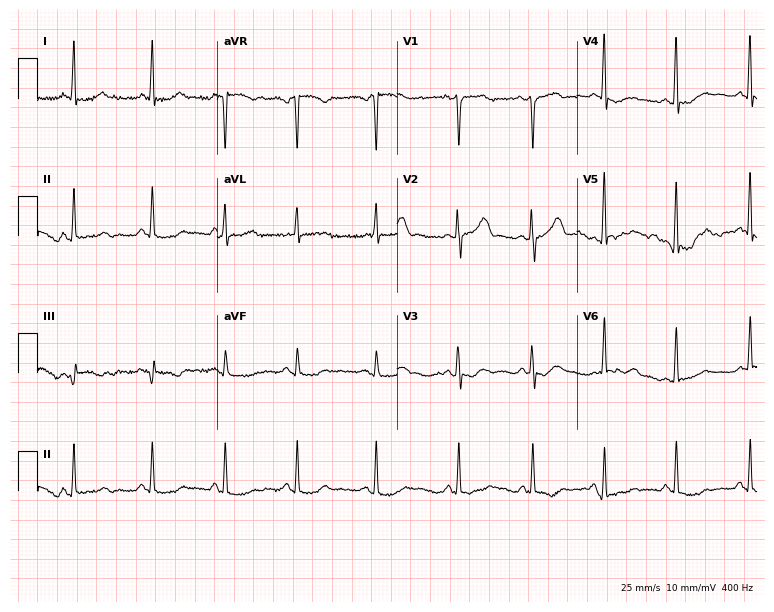
12-lead ECG from a woman, 41 years old. No first-degree AV block, right bundle branch block (RBBB), left bundle branch block (LBBB), sinus bradycardia, atrial fibrillation (AF) or sinus tachycardia recorded for this tracing.